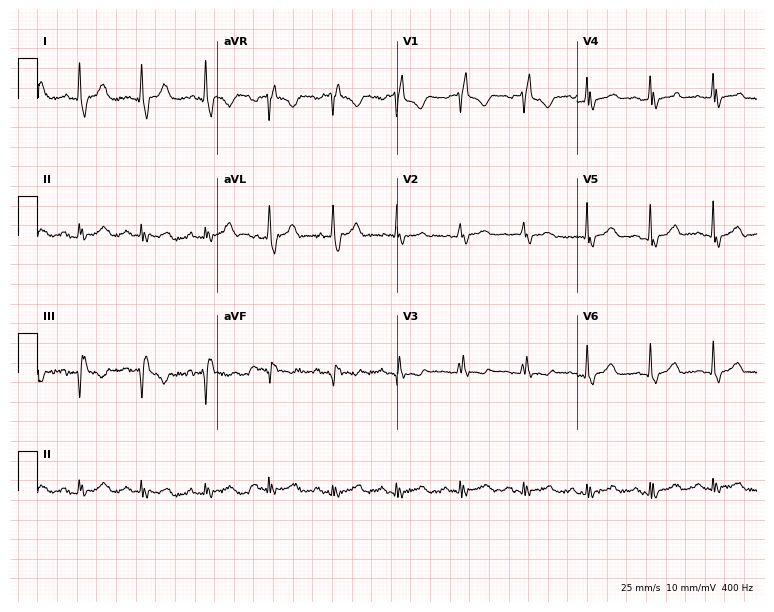
Resting 12-lead electrocardiogram. Patient: a 71-year-old woman. The tracing shows right bundle branch block.